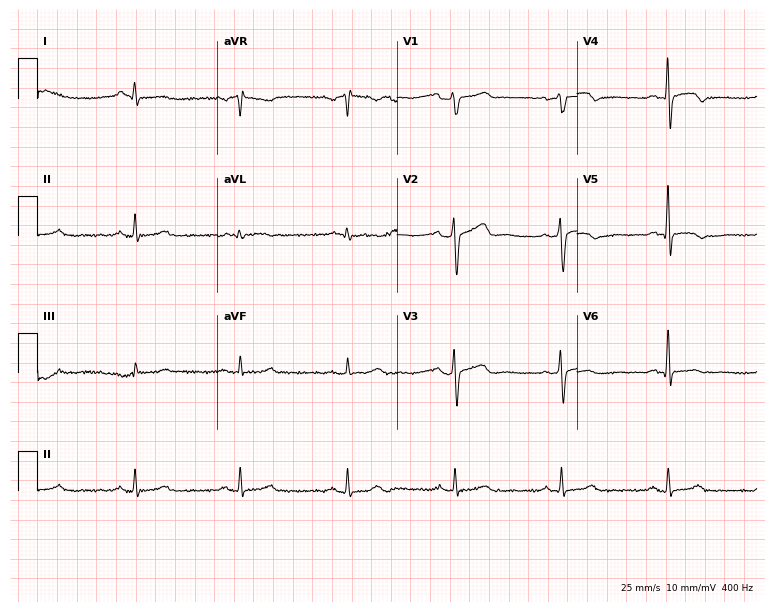
ECG — a 57-year-old male. Screened for six findings — first-degree AV block, right bundle branch block, left bundle branch block, sinus bradycardia, atrial fibrillation, sinus tachycardia — none is recorded.